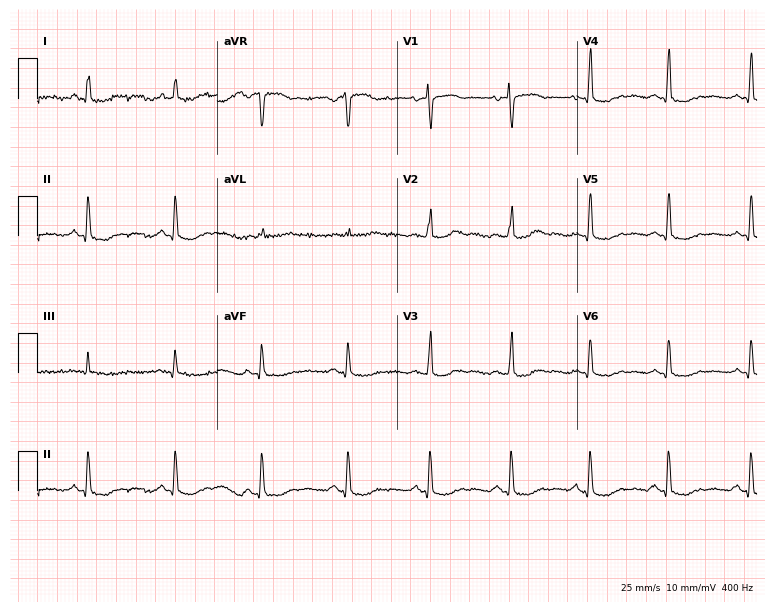
ECG (7.3-second recording at 400 Hz) — a female patient, 60 years old. Screened for six findings — first-degree AV block, right bundle branch block, left bundle branch block, sinus bradycardia, atrial fibrillation, sinus tachycardia — none is recorded.